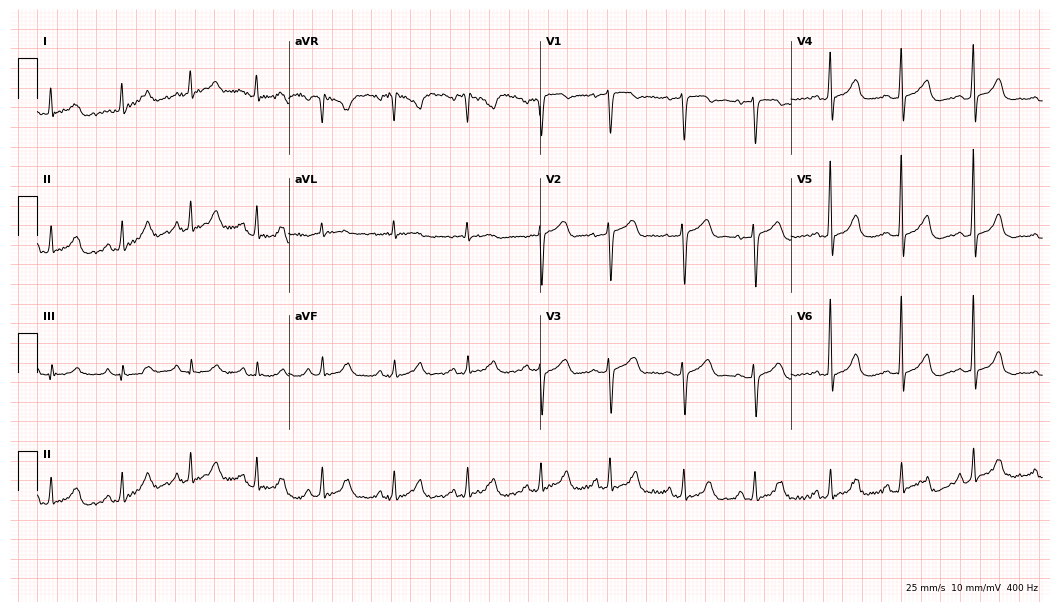
Standard 12-lead ECG recorded from a 49-year-old female (10.2-second recording at 400 Hz). Read as a normal ECG.